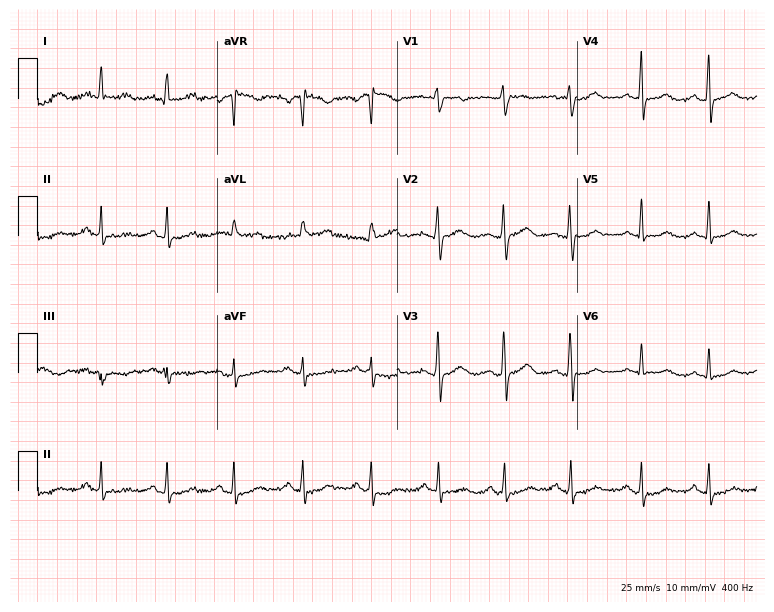
Electrocardiogram (7.3-second recording at 400 Hz), a woman, 46 years old. Overall reading on record: normal ECG.